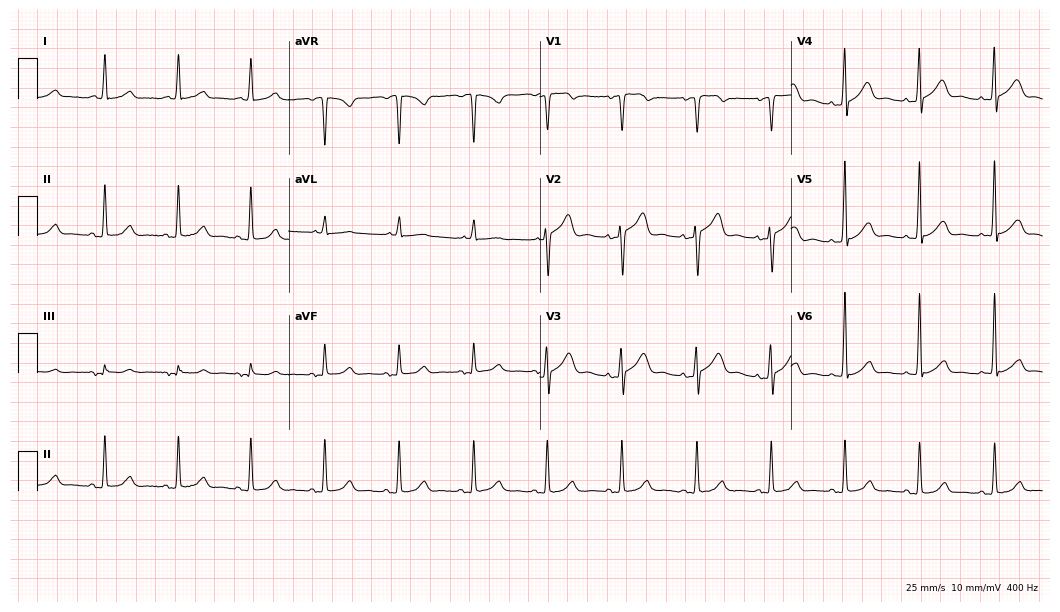
12-lead ECG from a 76-year-old woman. Recorded interpretation: within normal limits.